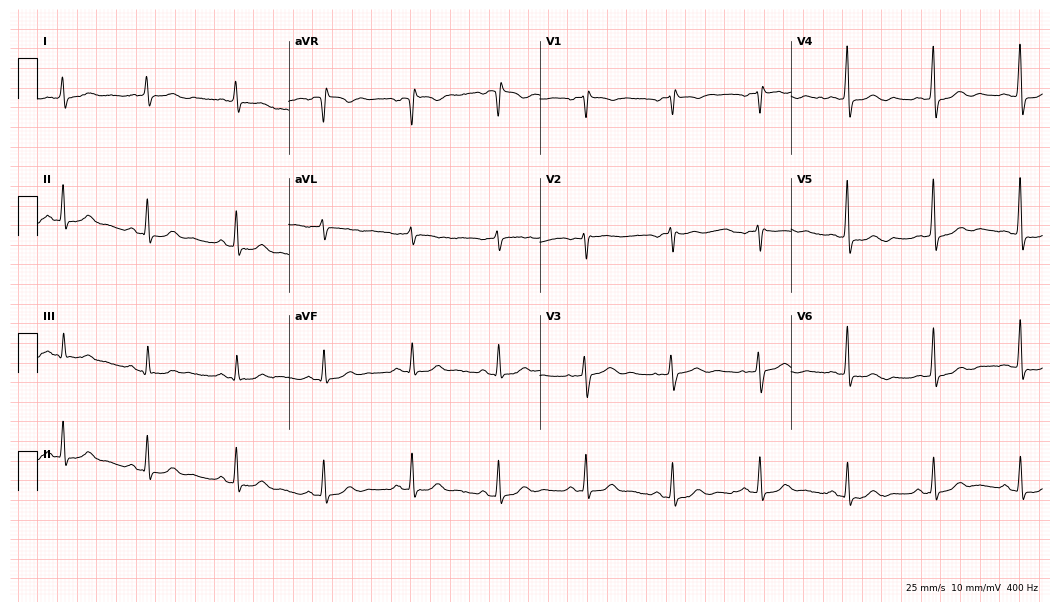
12-lead ECG from a female, 76 years old (10.2-second recording at 400 Hz). Recorded interpretation: within normal limits.